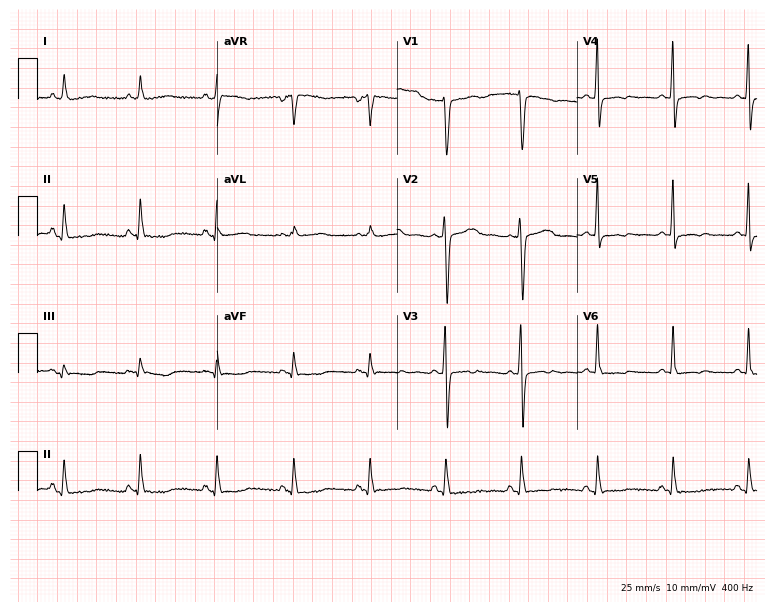
Electrocardiogram (7.3-second recording at 400 Hz), a 71-year-old woman. Of the six screened findings (first-degree AV block, right bundle branch block (RBBB), left bundle branch block (LBBB), sinus bradycardia, atrial fibrillation (AF), sinus tachycardia), none is recorded.